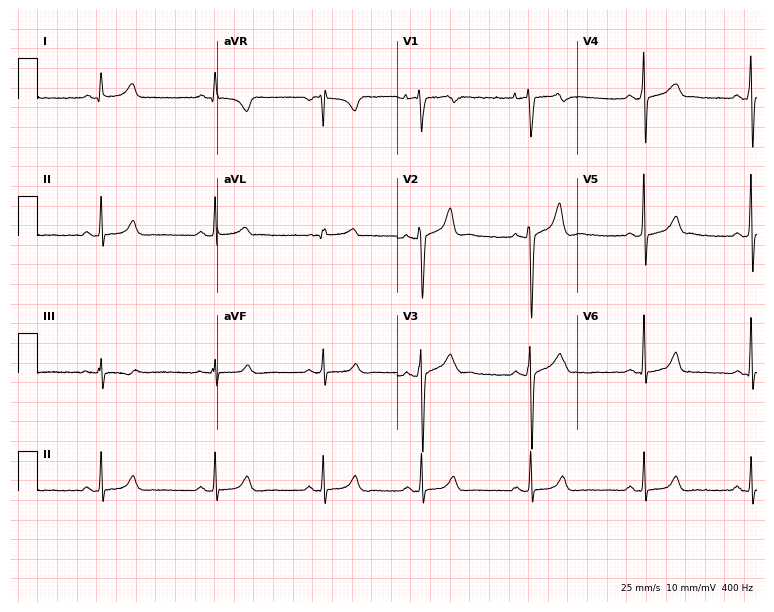
ECG (7.3-second recording at 400 Hz) — a 23-year-old male. Labelled as a normal ECG.